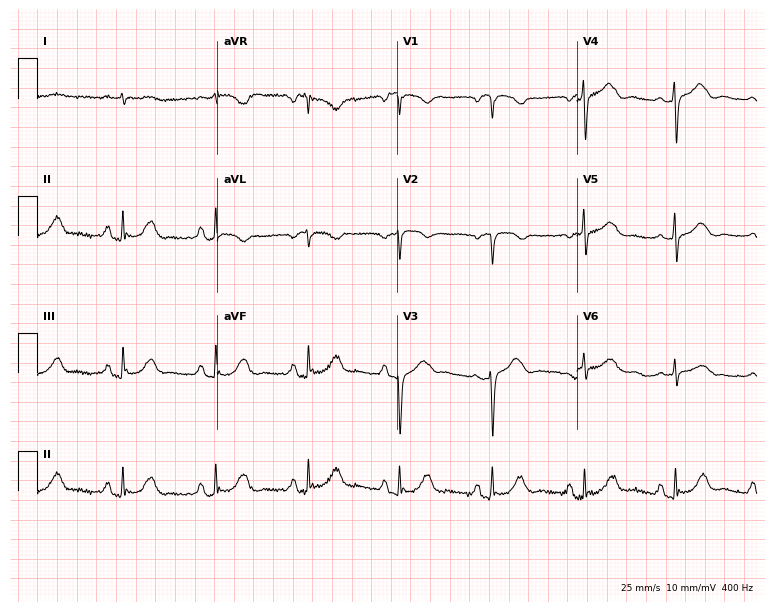
Standard 12-lead ECG recorded from a male patient, 79 years old (7.3-second recording at 400 Hz). None of these six findings is recorded: first-degree AV block, right bundle branch block, left bundle branch block, sinus bradycardia, atrial fibrillation, sinus tachycardia.